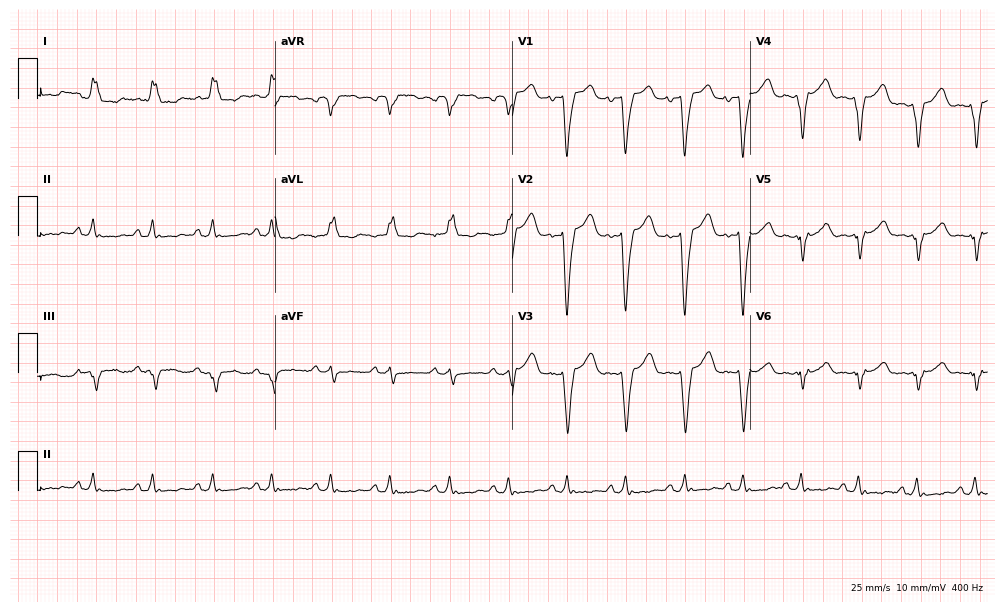
ECG (9.7-second recording at 400 Hz) — a 55-year-old woman. Findings include left bundle branch block.